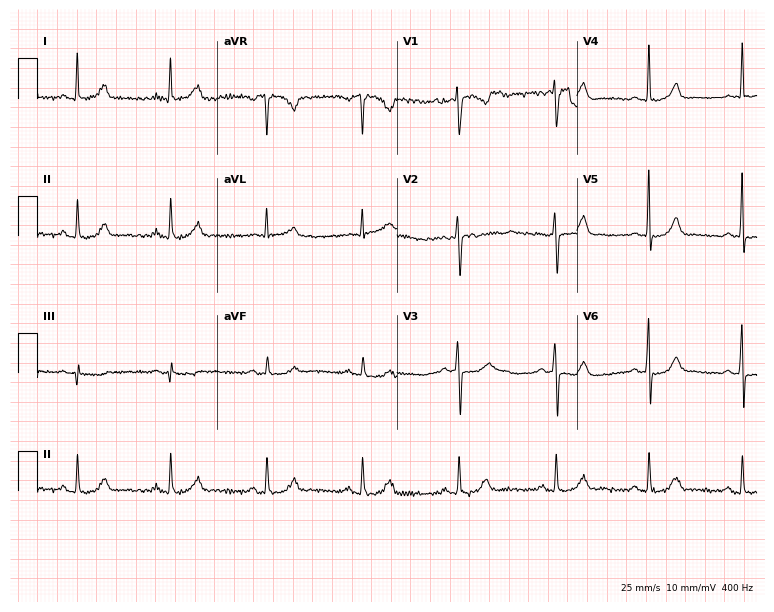
ECG (7.3-second recording at 400 Hz) — a 51-year-old female patient. Labelled as a normal ECG.